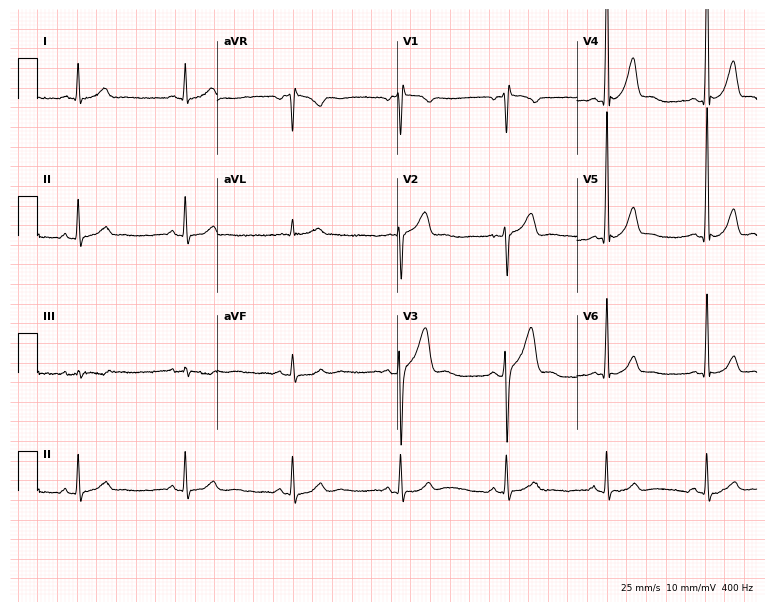
12-lead ECG from a 36-year-old man. Screened for six findings — first-degree AV block, right bundle branch block, left bundle branch block, sinus bradycardia, atrial fibrillation, sinus tachycardia — none is recorded.